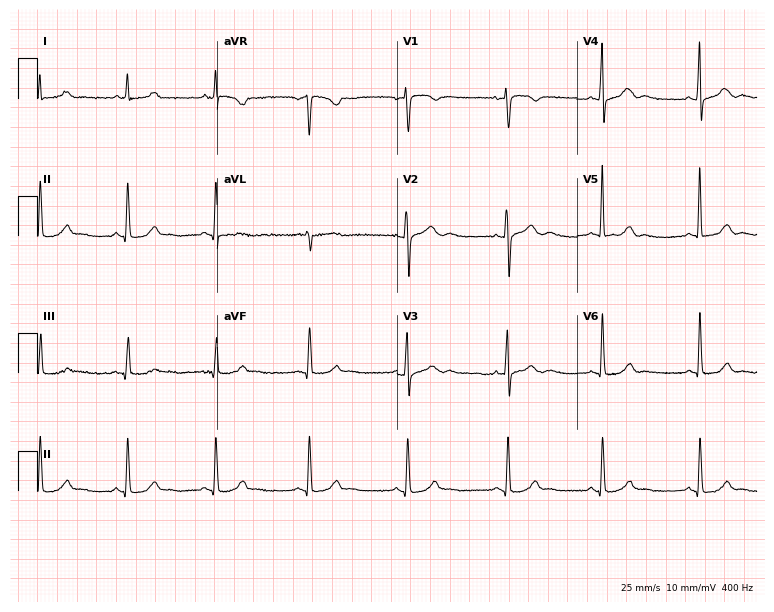
ECG (7.3-second recording at 400 Hz) — a female patient, 42 years old. Screened for six findings — first-degree AV block, right bundle branch block (RBBB), left bundle branch block (LBBB), sinus bradycardia, atrial fibrillation (AF), sinus tachycardia — none is recorded.